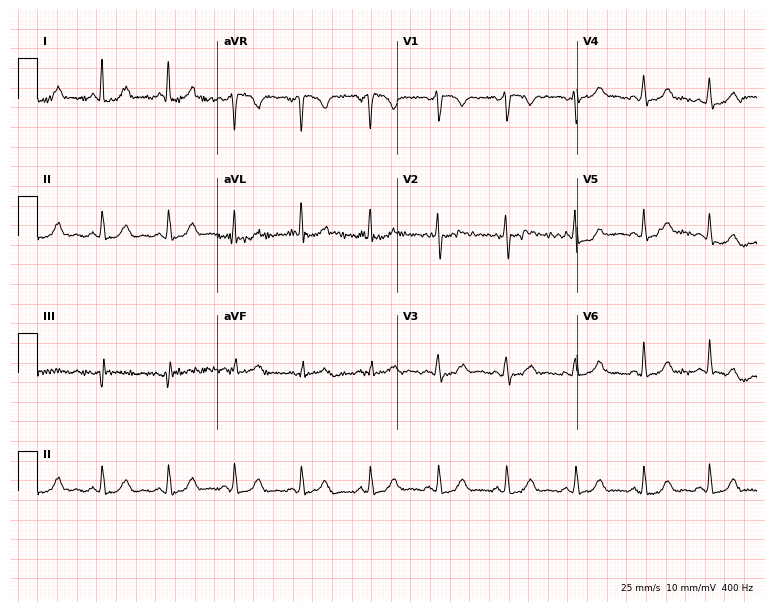
Resting 12-lead electrocardiogram. Patient: a 26-year-old woman. Read as a normal ECG.